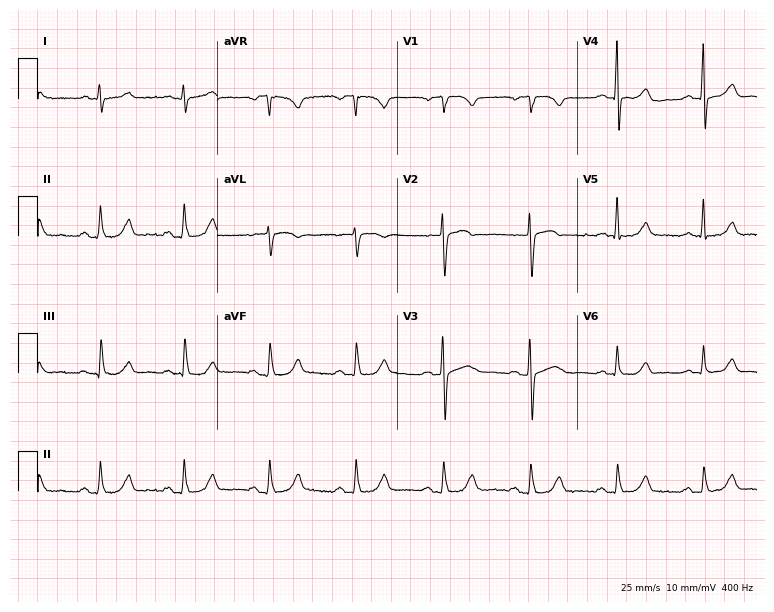
Resting 12-lead electrocardiogram (7.3-second recording at 400 Hz). Patient: a female, 62 years old. Read as a normal ECG.